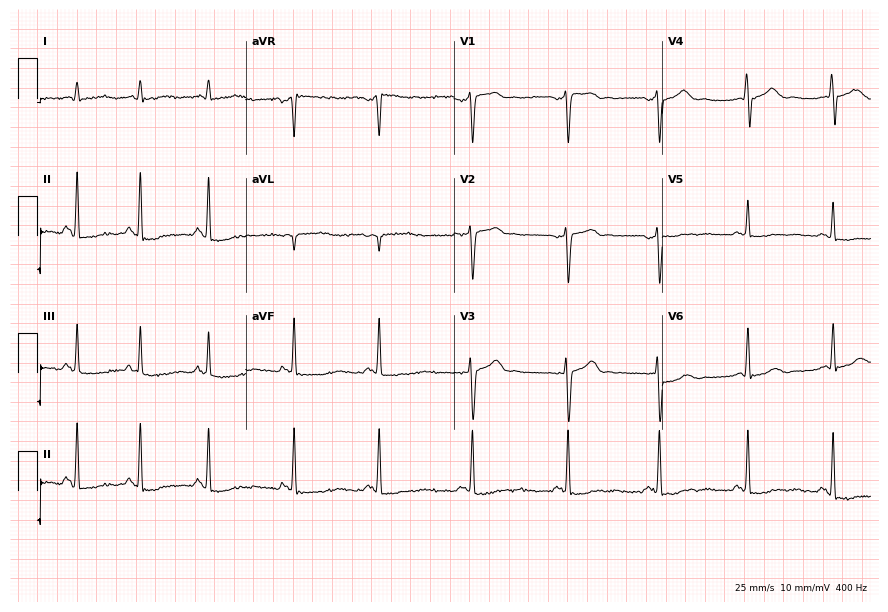
Electrocardiogram (8.5-second recording at 400 Hz), a male, 43 years old. Of the six screened findings (first-degree AV block, right bundle branch block, left bundle branch block, sinus bradycardia, atrial fibrillation, sinus tachycardia), none is recorded. Other findings, if any, are not listed.